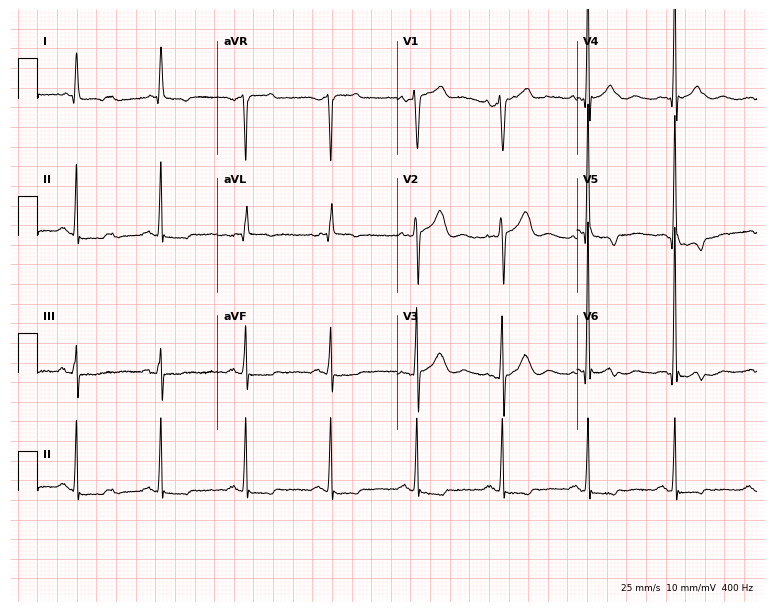
12-lead ECG (7.3-second recording at 400 Hz) from a man, 83 years old. Screened for six findings — first-degree AV block, right bundle branch block, left bundle branch block, sinus bradycardia, atrial fibrillation, sinus tachycardia — none is recorded. Only these six findings were labelled.